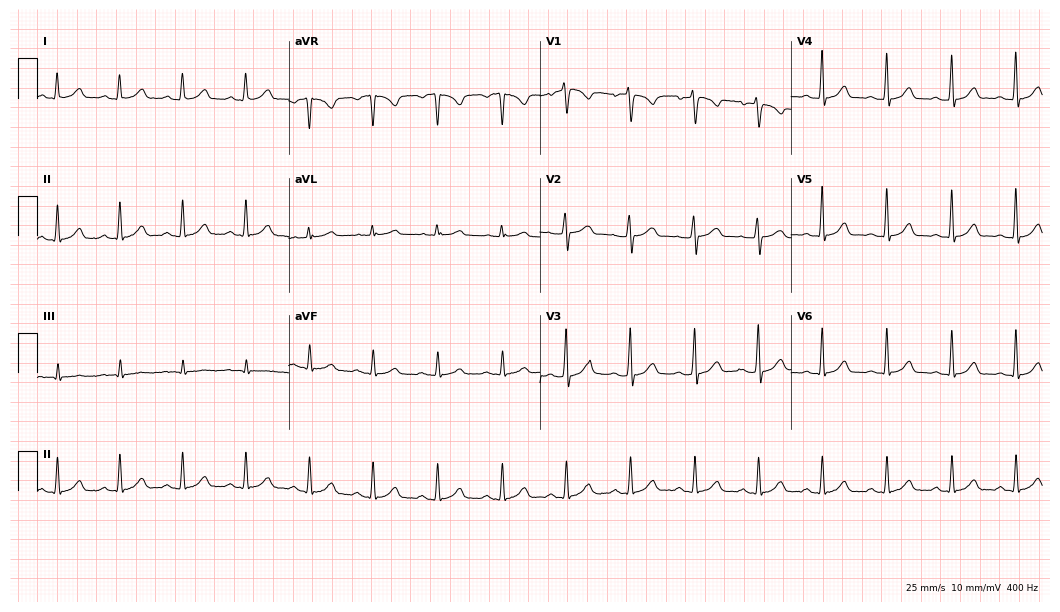
Standard 12-lead ECG recorded from a female patient, 34 years old. Read as a normal ECG.